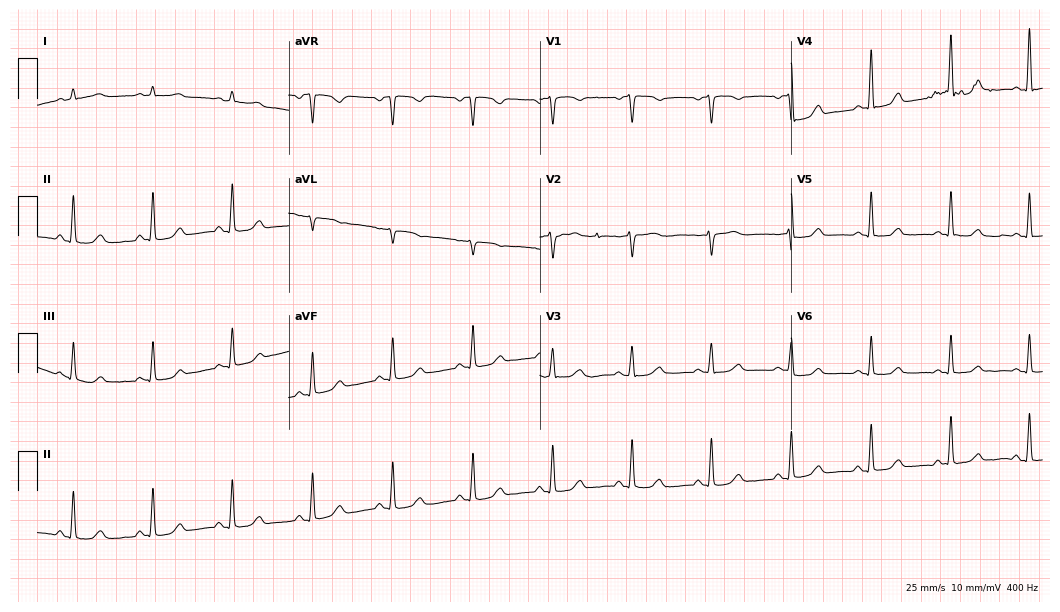
ECG — a 49-year-old woman. Screened for six findings — first-degree AV block, right bundle branch block, left bundle branch block, sinus bradycardia, atrial fibrillation, sinus tachycardia — none is recorded.